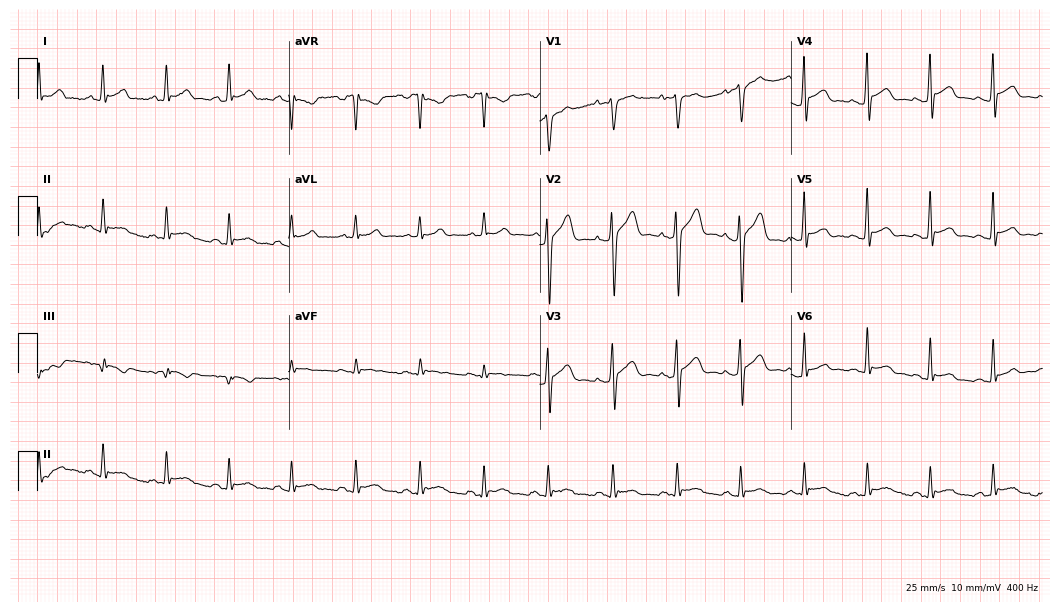
Standard 12-lead ECG recorded from a man, 43 years old. None of these six findings is recorded: first-degree AV block, right bundle branch block (RBBB), left bundle branch block (LBBB), sinus bradycardia, atrial fibrillation (AF), sinus tachycardia.